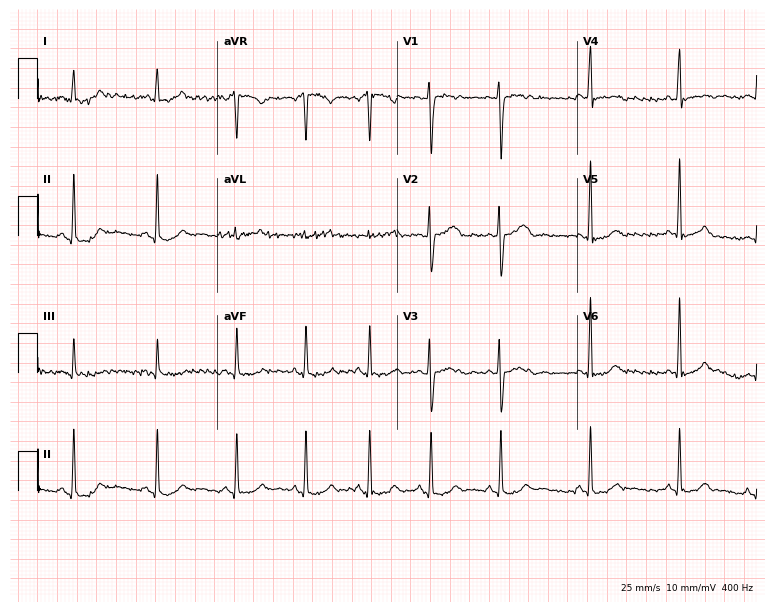
12-lead ECG from a 29-year-old woman. Recorded interpretation: within normal limits.